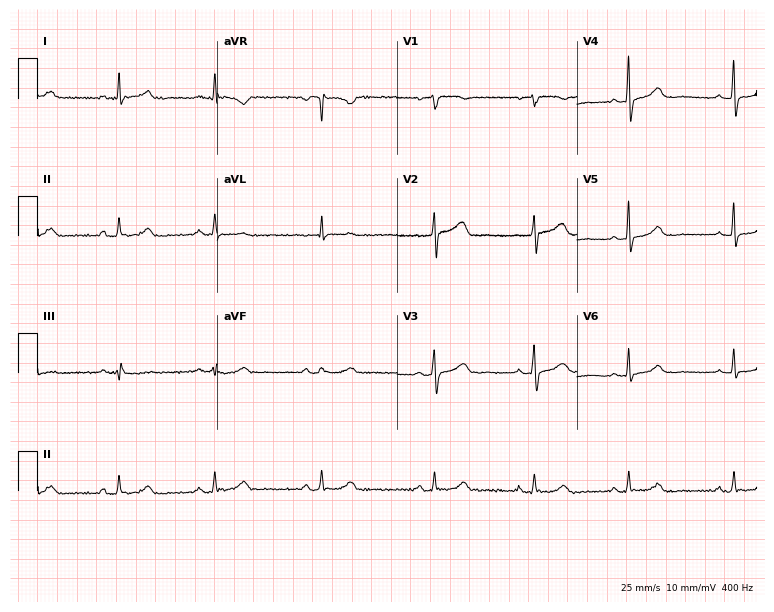
12-lead ECG from a 55-year-old female. No first-degree AV block, right bundle branch block (RBBB), left bundle branch block (LBBB), sinus bradycardia, atrial fibrillation (AF) or sinus tachycardia recorded for this tracing. Only these six findings were labelled.